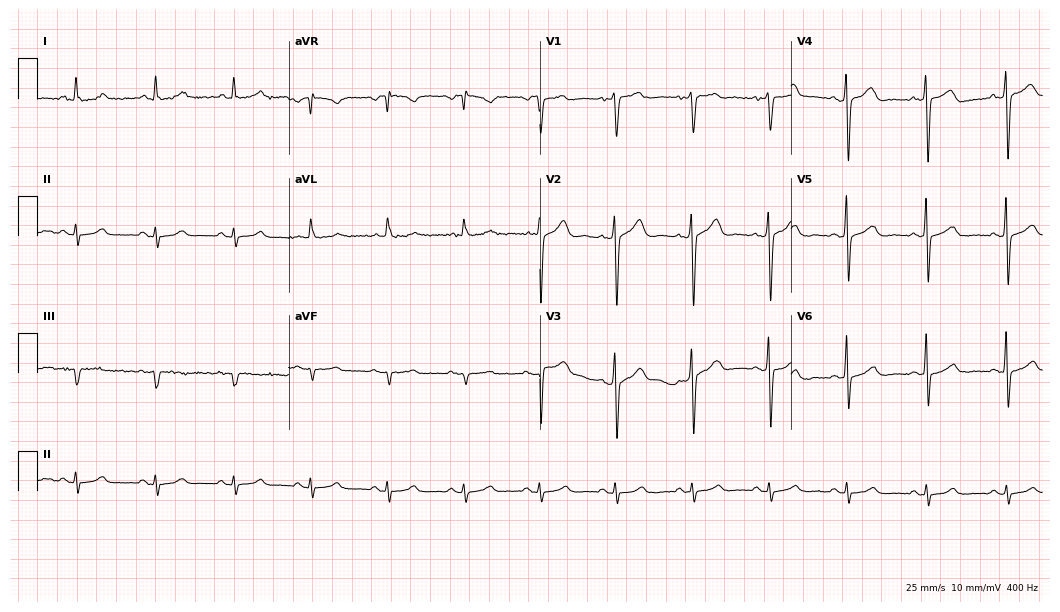
Resting 12-lead electrocardiogram (10.2-second recording at 400 Hz). Patient: a male, 70 years old. Read as a normal ECG.